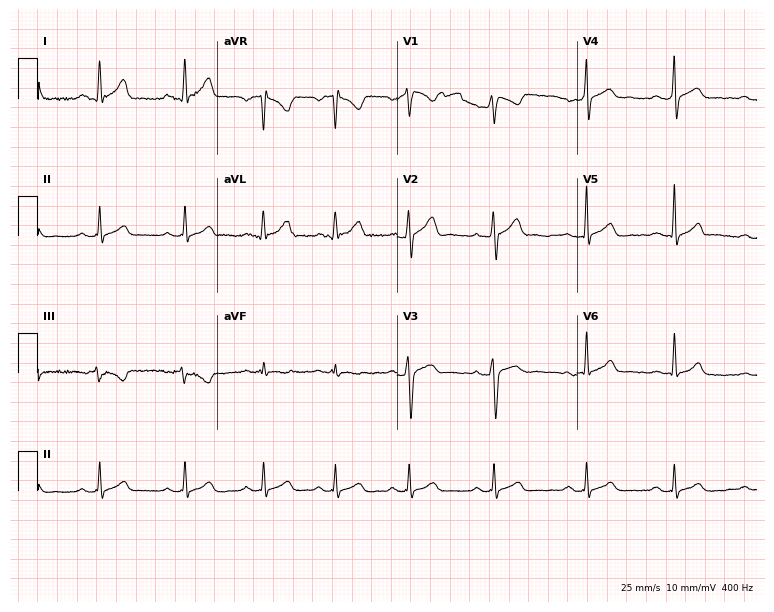
Electrocardiogram (7.3-second recording at 400 Hz), a man, 21 years old. Overall reading on record: normal ECG.